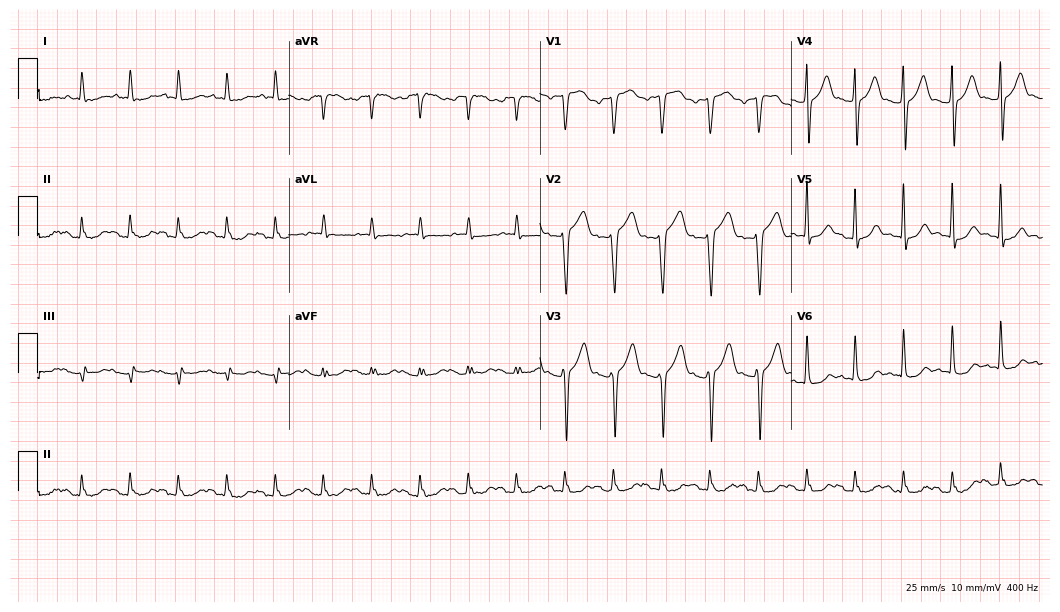
12-lead ECG from a male, 63 years old. No first-degree AV block, right bundle branch block (RBBB), left bundle branch block (LBBB), sinus bradycardia, atrial fibrillation (AF) or sinus tachycardia recorded for this tracing.